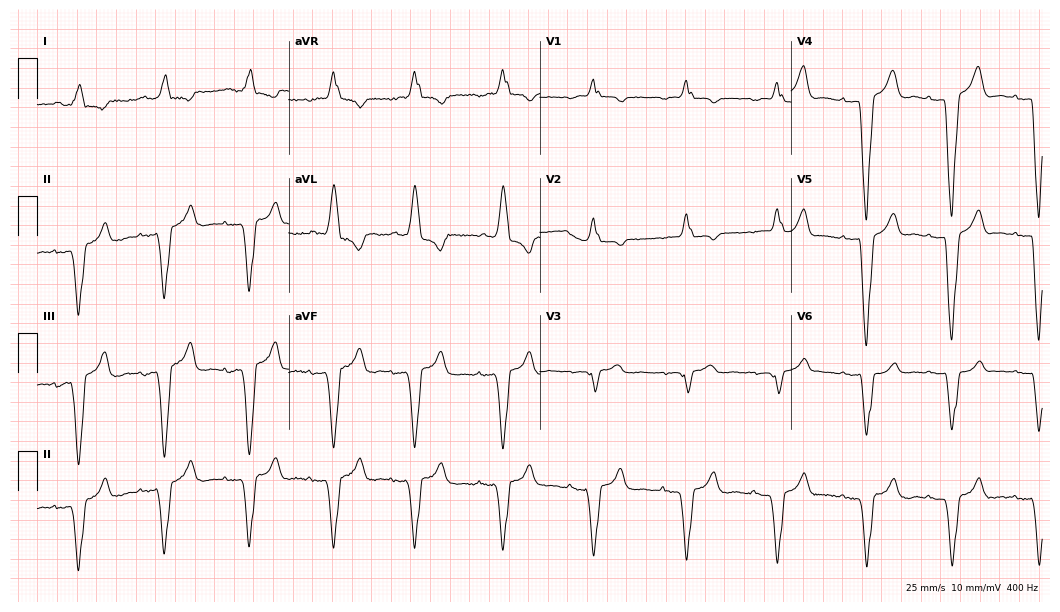
Standard 12-lead ECG recorded from a female patient, 71 years old. The tracing shows right bundle branch block.